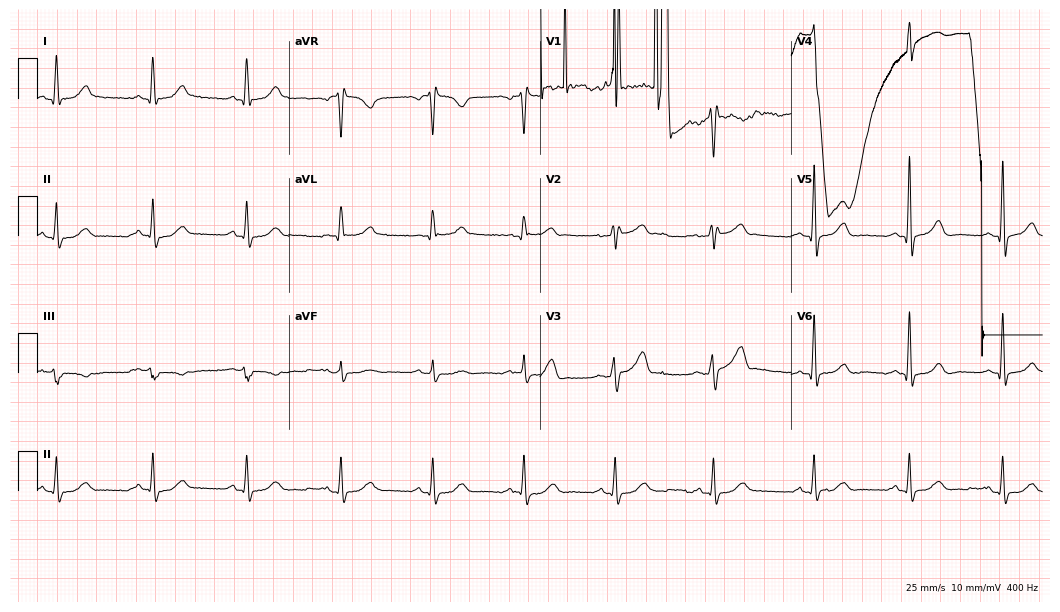
ECG (10.2-second recording at 400 Hz) — a male patient, 44 years old. Screened for six findings — first-degree AV block, right bundle branch block, left bundle branch block, sinus bradycardia, atrial fibrillation, sinus tachycardia — none is recorded.